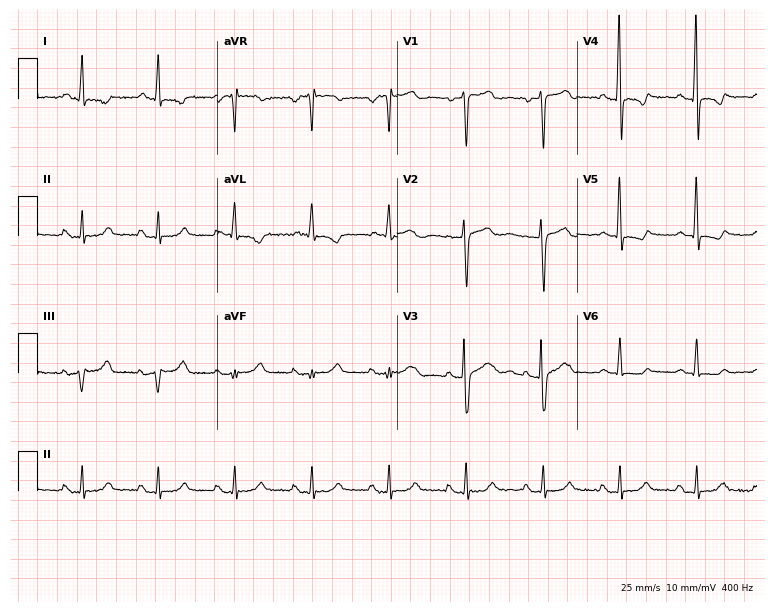
Electrocardiogram, a 60-year-old man. Of the six screened findings (first-degree AV block, right bundle branch block (RBBB), left bundle branch block (LBBB), sinus bradycardia, atrial fibrillation (AF), sinus tachycardia), none is recorded. Findings outside these six are not listed.